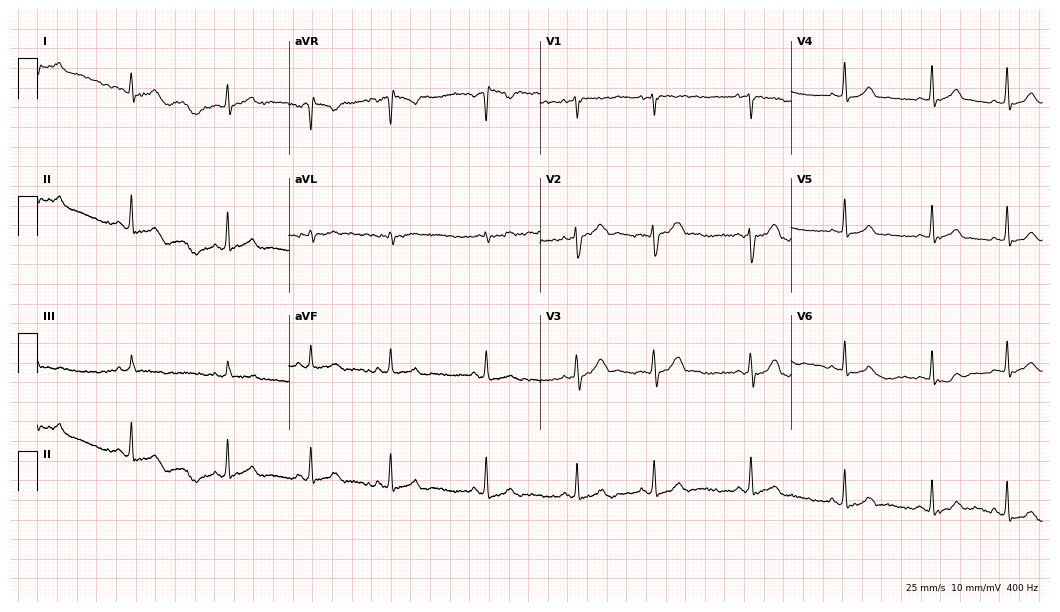
ECG — a 25-year-old female. Screened for six findings — first-degree AV block, right bundle branch block, left bundle branch block, sinus bradycardia, atrial fibrillation, sinus tachycardia — none is recorded. Other findings, if any, are not listed.